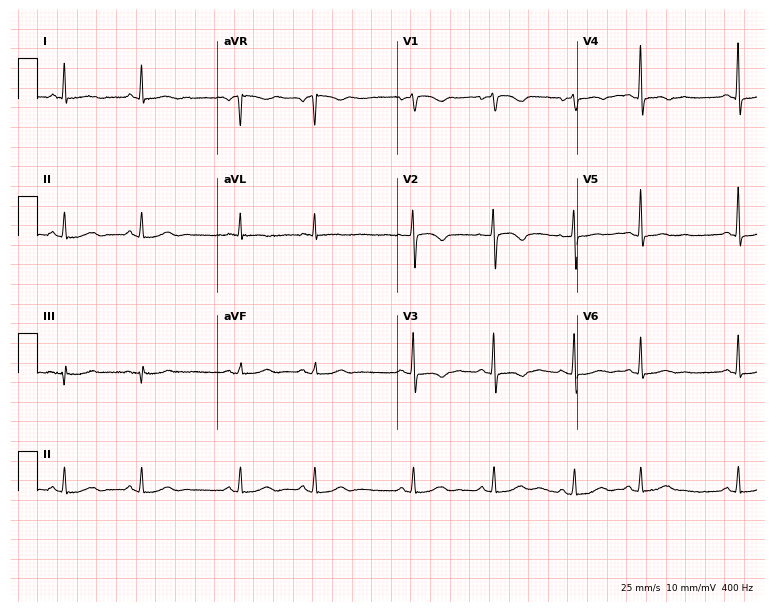
12-lead ECG (7.3-second recording at 400 Hz) from a 71-year-old female patient. Screened for six findings — first-degree AV block, right bundle branch block, left bundle branch block, sinus bradycardia, atrial fibrillation, sinus tachycardia — none is recorded. Other findings, if any, are not listed.